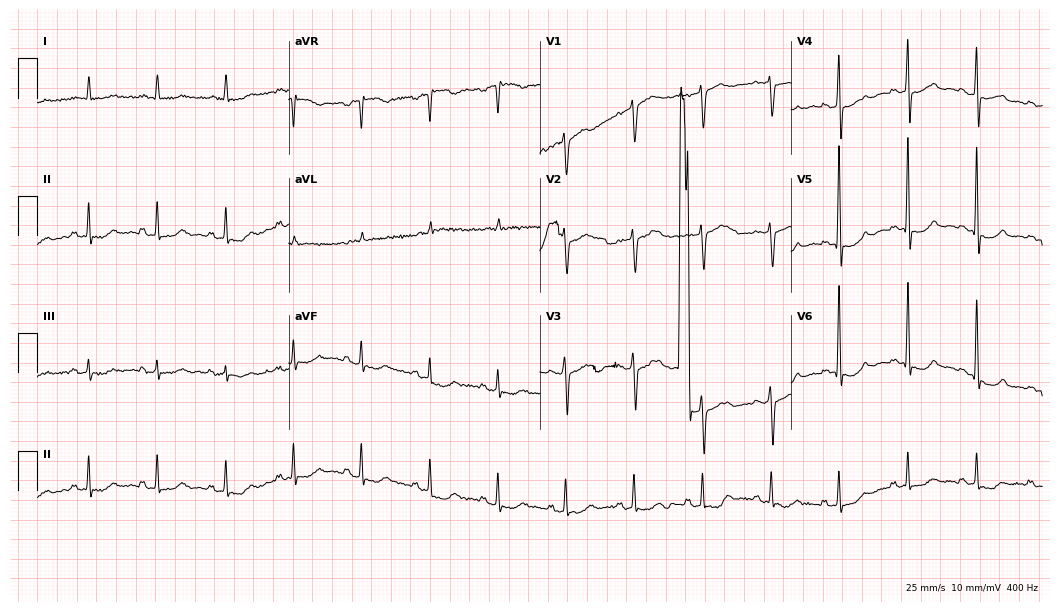
Standard 12-lead ECG recorded from a female patient, 77 years old. None of these six findings is recorded: first-degree AV block, right bundle branch block, left bundle branch block, sinus bradycardia, atrial fibrillation, sinus tachycardia. Other findings, if any, are not listed.